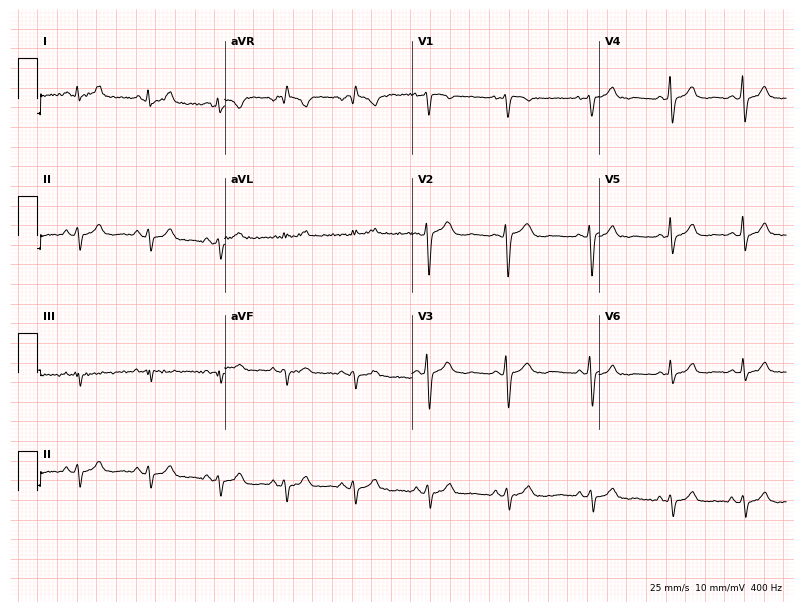
12-lead ECG from a 23-year-old woman. Screened for six findings — first-degree AV block, right bundle branch block, left bundle branch block, sinus bradycardia, atrial fibrillation, sinus tachycardia — none is recorded. Other findings, if any, are not listed.